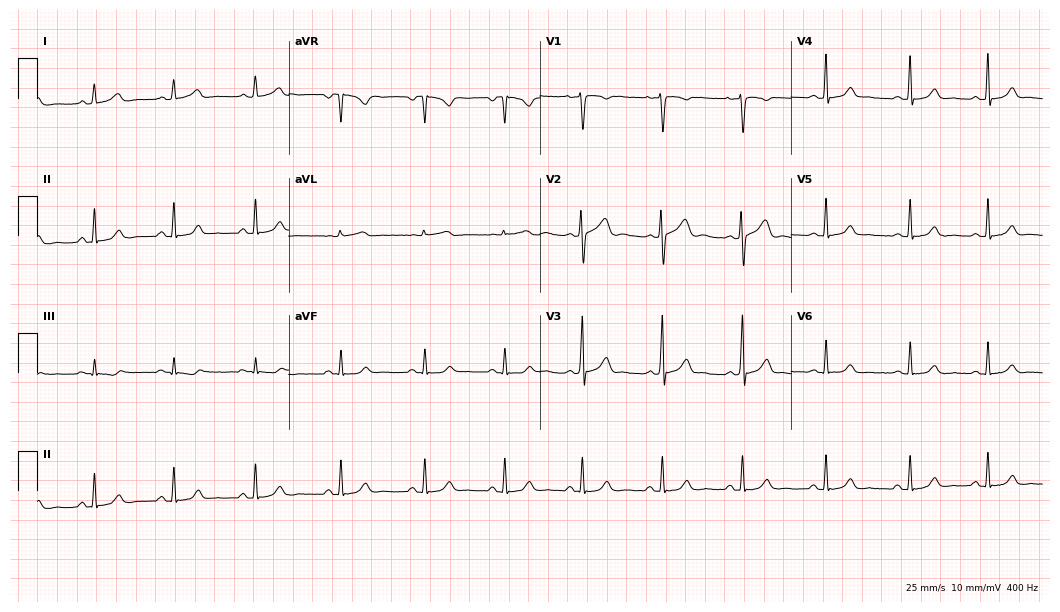
Standard 12-lead ECG recorded from a 28-year-old woman. Read as a normal ECG.